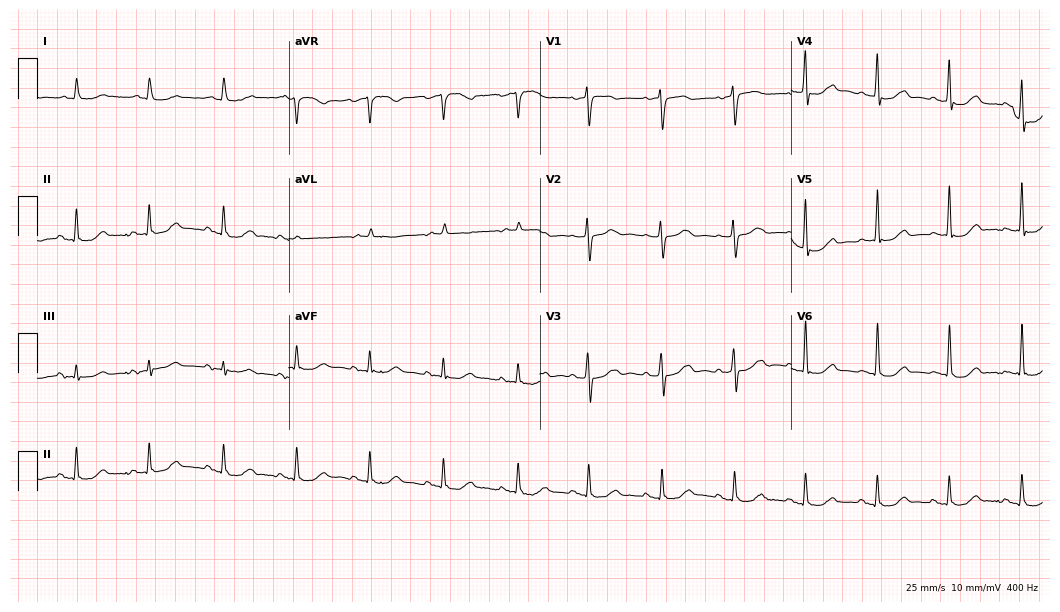
Standard 12-lead ECG recorded from a male patient, 79 years old (10.2-second recording at 400 Hz). Read as a normal ECG.